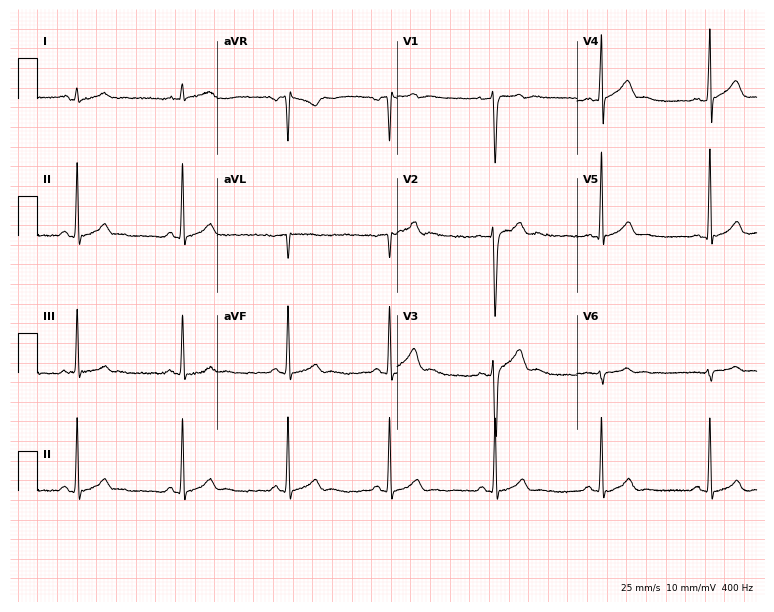
12-lead ECG from a male, 30 years old (7.3-second recording at 400 Hz). No first-degree AV block, right bundle branch block, left bundle branch block, sinus bradycardia, atrial fibrillation or sinus tachycardia recorded for this tracing. Only these six findings were labelled.